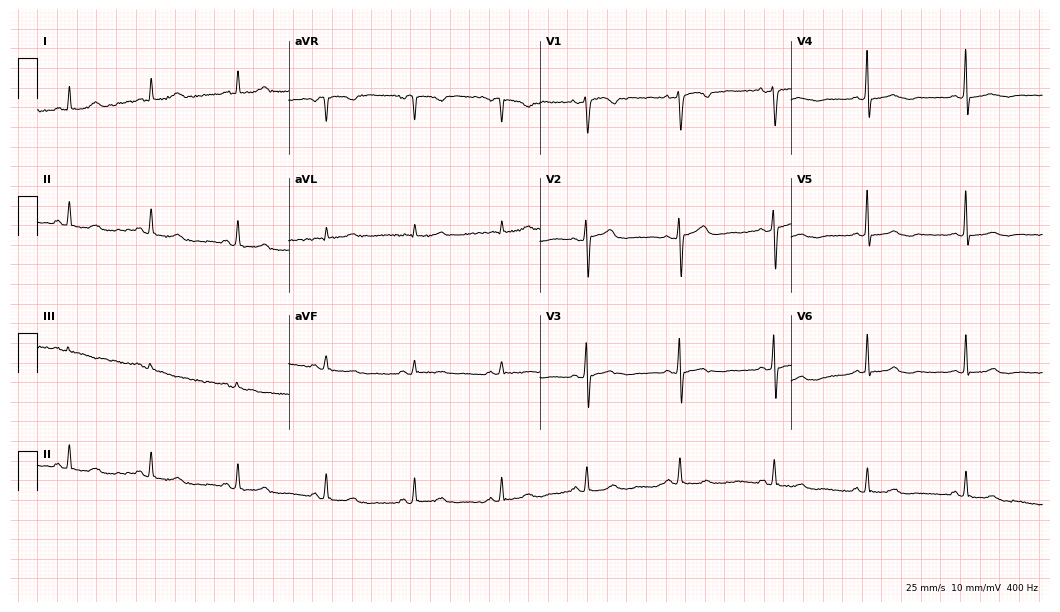
ECG — a woman, 44 years old. Labelled as a normal ECG.